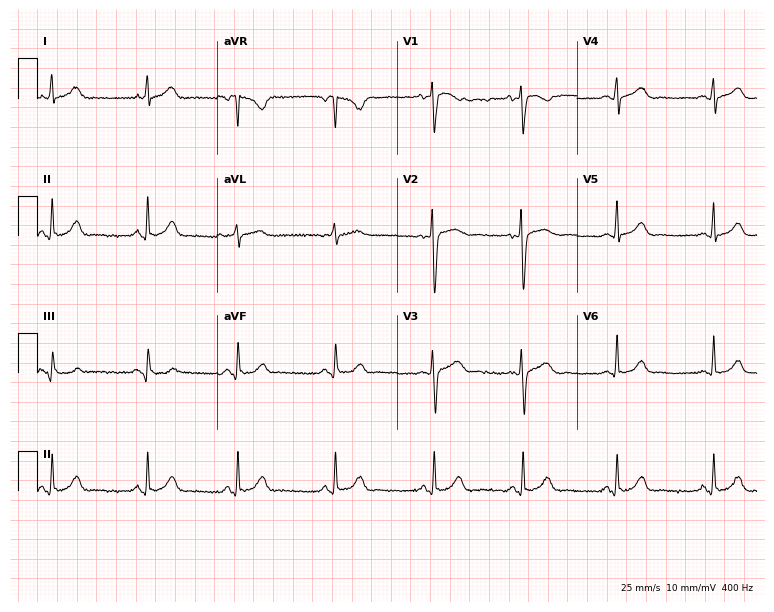
12-lead ECG from a 30-year-old woman (7.3-second recording at 400 Hz). Recorded interpretation: within normal limits.